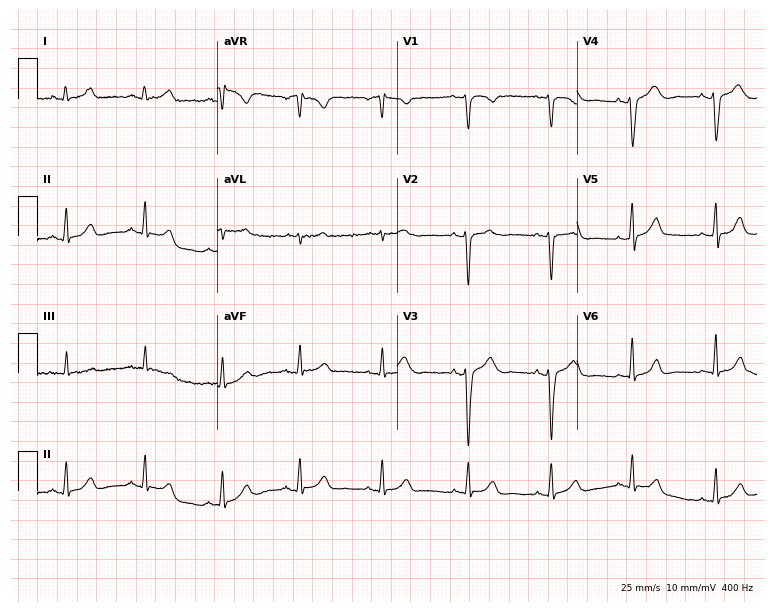
Electrocardiogram (7.3-second recording at 400 Hz), a woman, 31 years old. Overall reading on record: normal ECG.